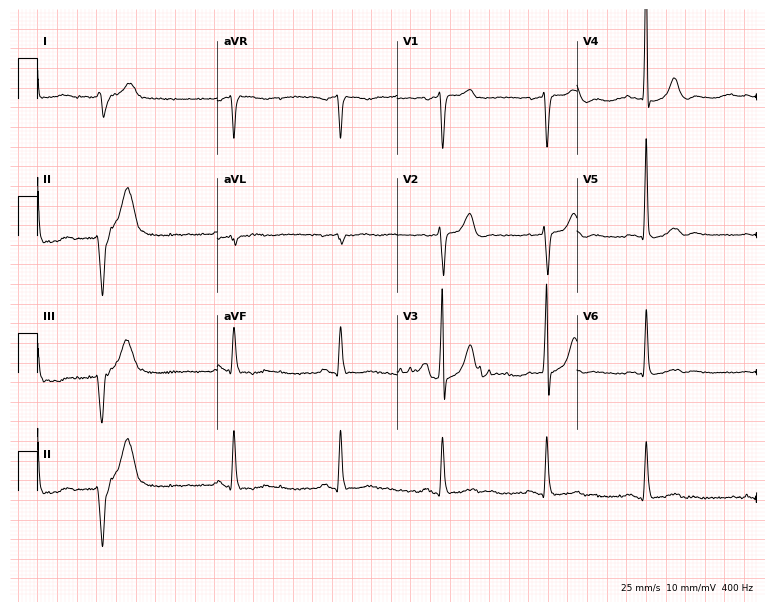
Resting 12-lead electrocardiogram. Patient: a 79-year-old male. None of these six findings is recorded: first-degree AV block, right bundle branch block, left bundle branch block, sinus bradycardia, atrial fibrillation, sinus tachycardia.